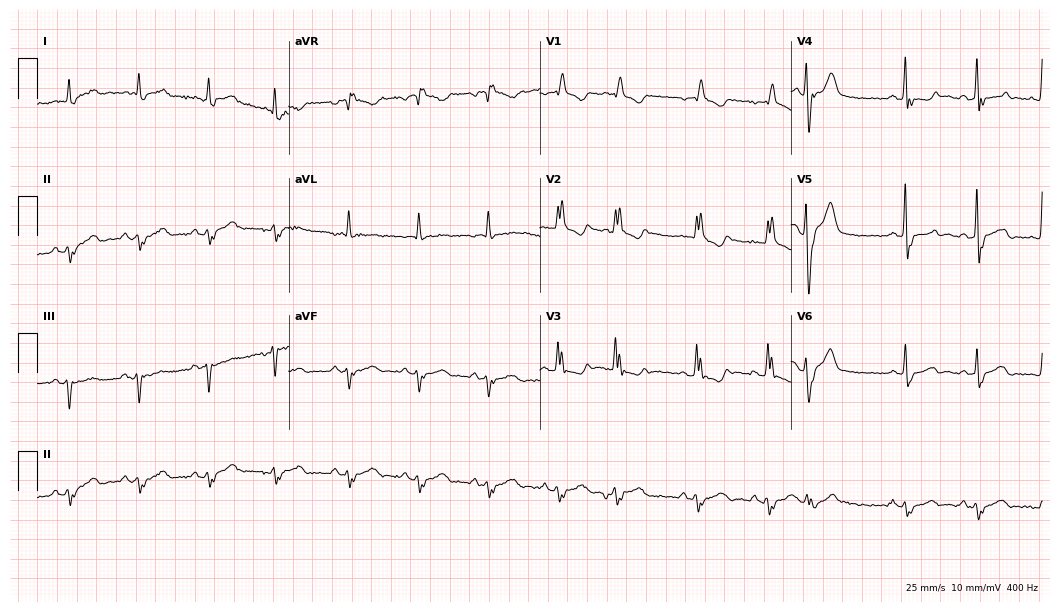
ECG — an 83-year-old male patient. Findings include right bundle branch block.